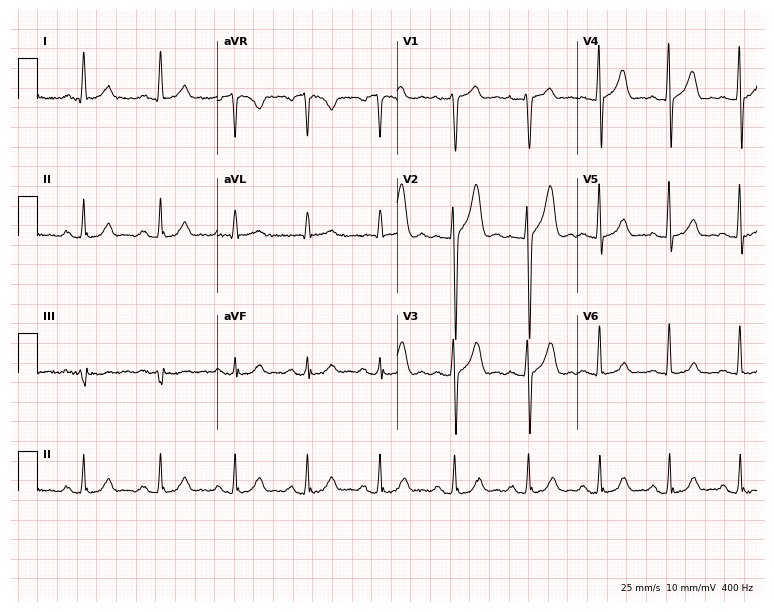
Electrocardiogram (7.3-second recording at 400 Hz), a male patient, 18 years old. Overall reading on record: normal ECG.